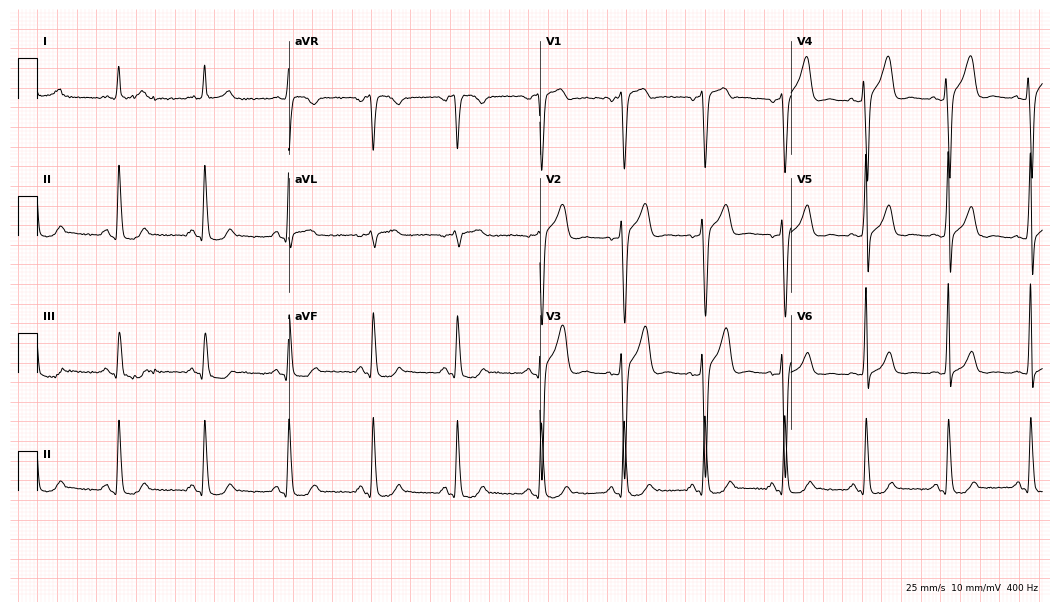
12-lead ECG from a 46-year-old man. No first-degree AV block, right bundle branch block, left bundle branch block, sinus bradycardia, atrial fibrillation or sinus tachycardia recorded for this tracing.